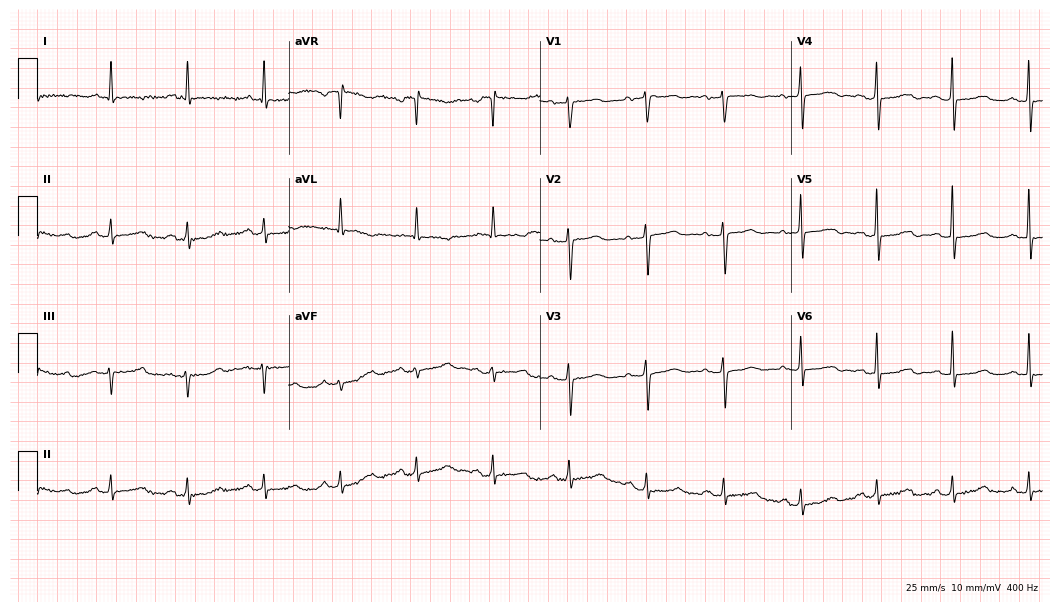
12-lead ECG (10.2-second recording at 400 Hz) from a female, 75 years old. Screened for six findings — first-degree AV block, right bundle branch block (RBBB), left bundle branch block (LBBB), sinus bradycardia, atrial fibrillation (AF), sinus tachycardia — none is recorded.